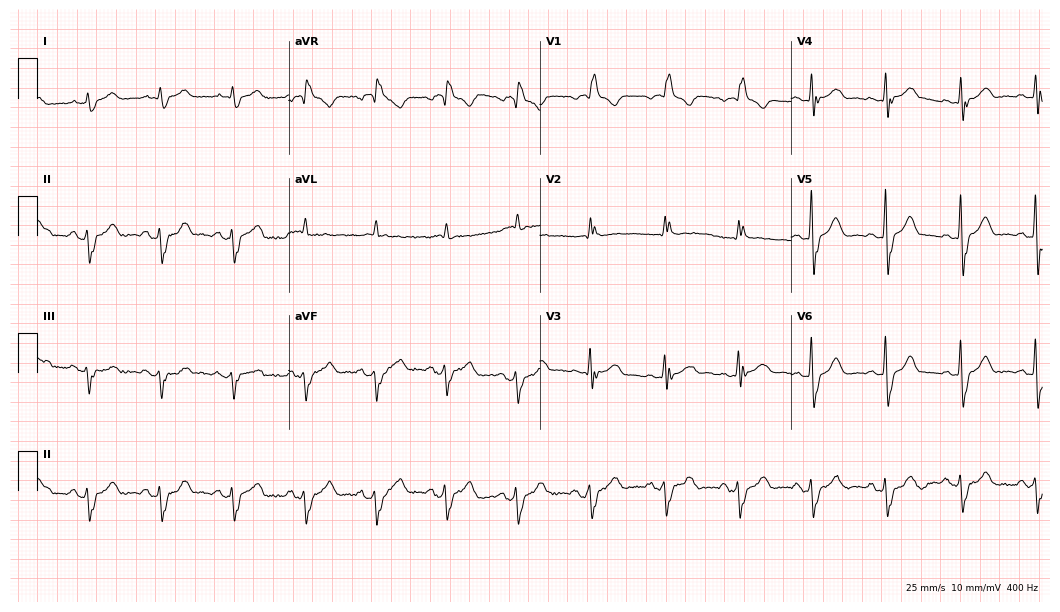
12-lead ECG (10.2-second recording at 400 Hz) from a 78-year-old male. Findings include right bundle branch block (RBBB).